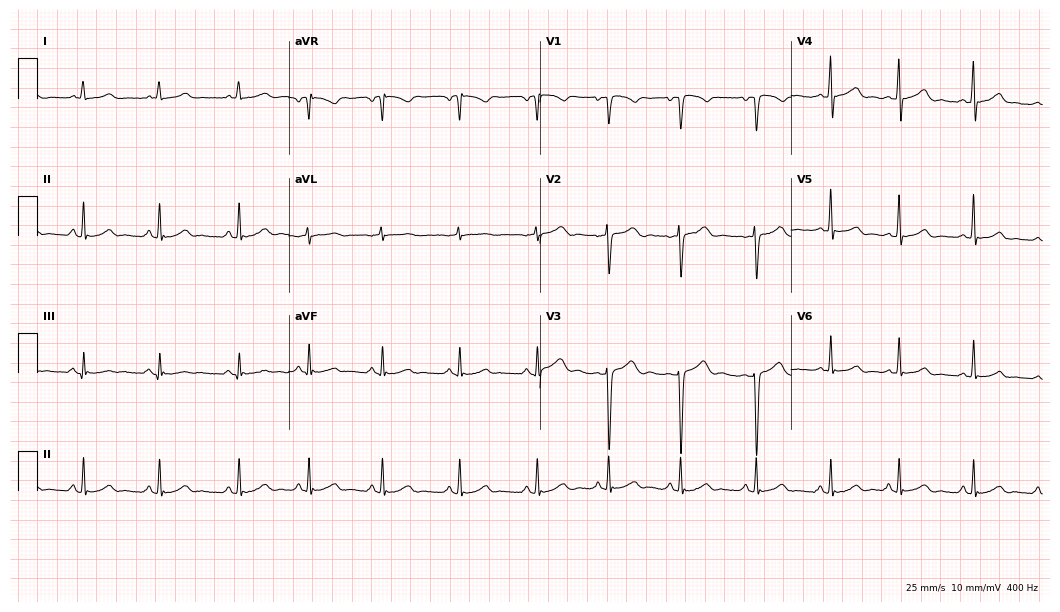
Resting 12-lead electrocardiogram. Patient: a woman, 23 years old. Read as a normal ECG.